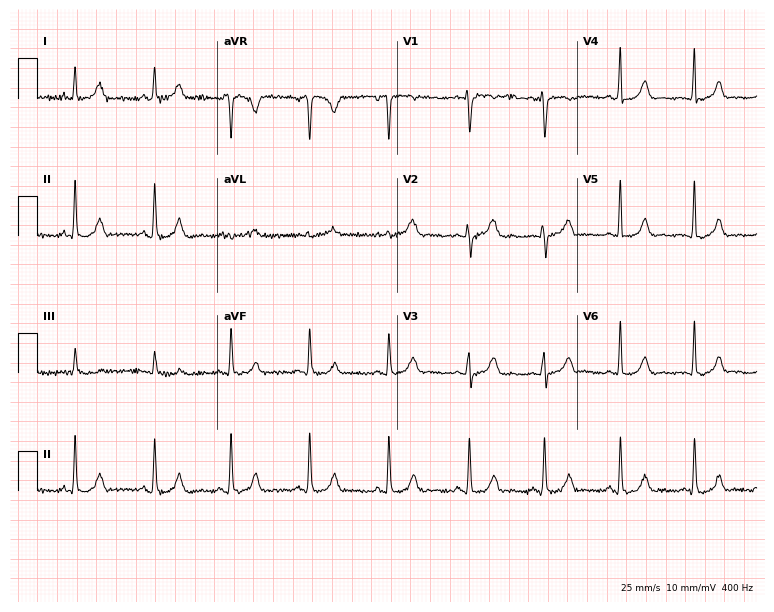
Electrocardiogram (7.3-second recording at 400 Hz), a 31-year-old female patient. Overall reading on record: normal ECG.